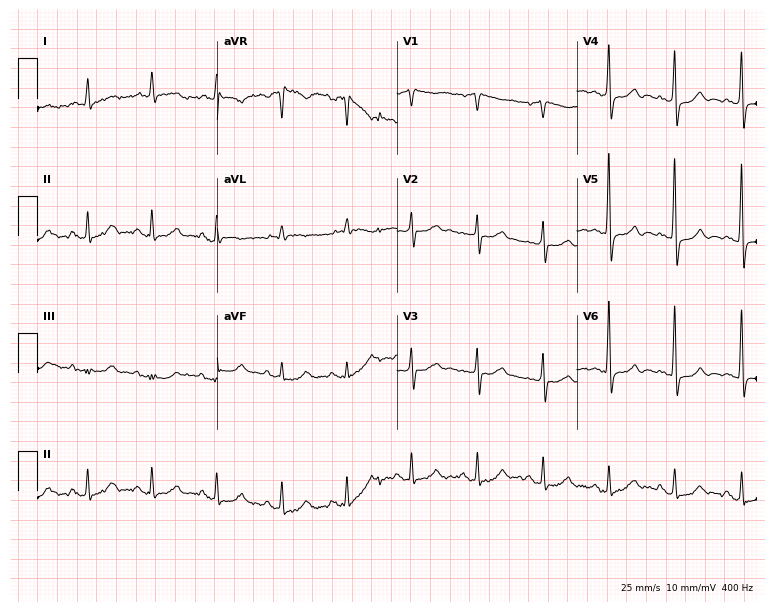
12-lead ECG from a 63-year-old male patient (7.3-second recording at 400 Hz). No first-degree AV block, right bundle branch block, left bundle branch block, sinus bradycardia, atrial fibrillation or sinus tachycardia recorded for this tracing. Findings outside these six are not listed.